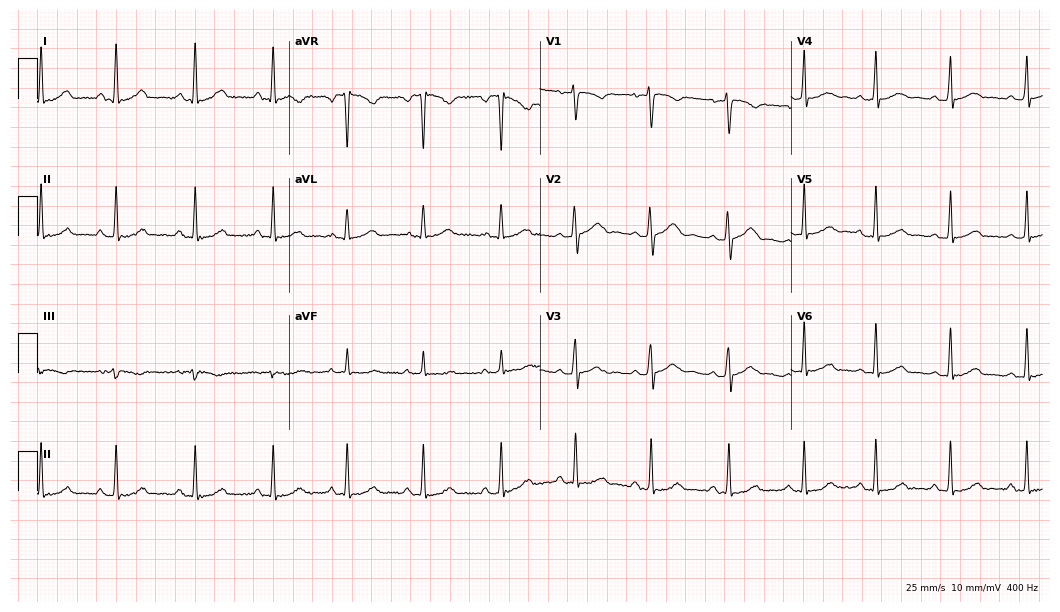
ECG — a 19-year-old female patient. Labelled as a normal ECG.